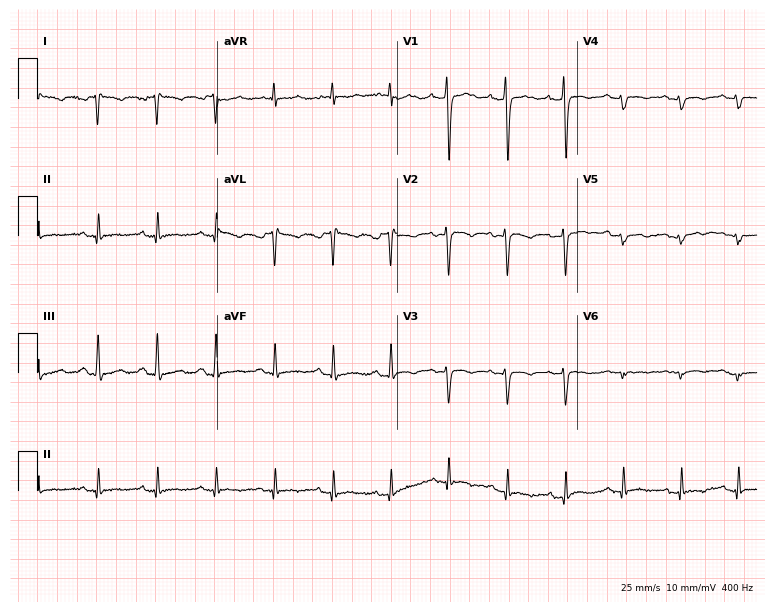
12-lead ECG (7.3-second recording at 400 Hz) from a female, 38 years old. Screened for six findings — first-degree AV block, right bundle branch block, left bundle branch block, sinus bradycardia, atrial fibrillation, sinus tachycardia — none is recorded.